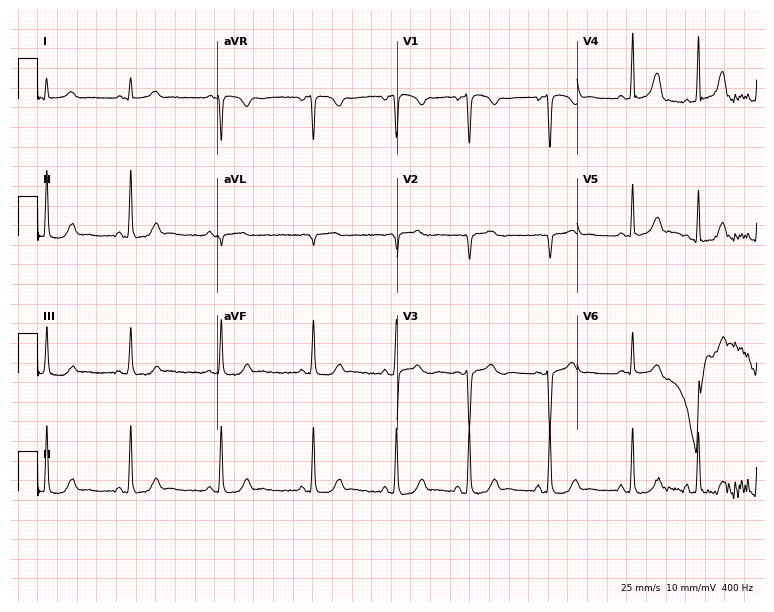
12-lead ECG from a woman, 19 years old (7.3-second recording at 400 Hz). Recorded interpretation: within normal limits.